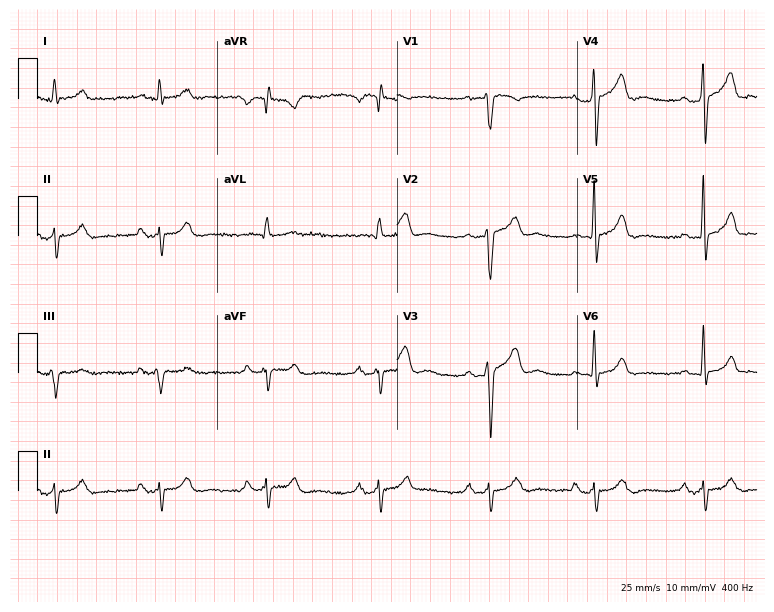
12-lead ECG (7.3-second recording at 400 Hz) from a 52-year-old man. Findings include first-degree AV block.